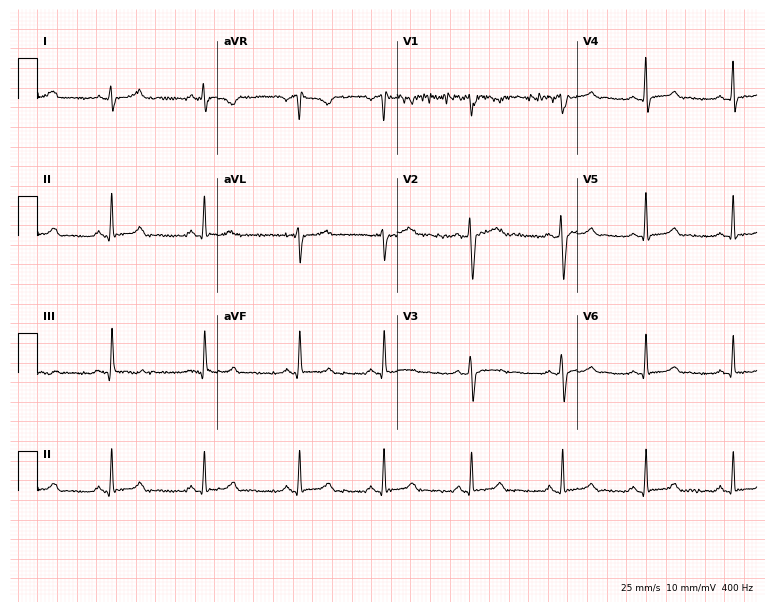
12-lead ECG from a 22-year-old female patient (7.3-second recording at 400 Hz). No first-degree AV block, right bundle branch block (RBBB), left bundle branch block (LBBB), sinus bradycardia, atrial fibrillation (AF) or sinus tachycardia recorded for this tracing. Only these six findings were labelled.